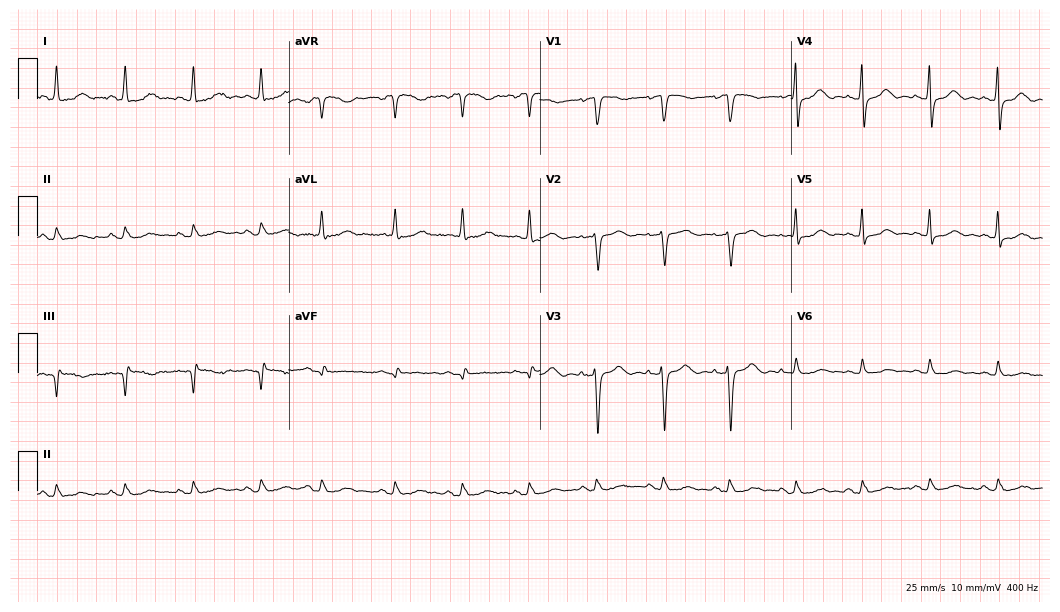
Resting 12-lead electrocardiogram. Patient: a 67-year-old woman. None of these six findings is recorded: first-degree AV block, right bundle branch block (RBBB), left bundle branch block (LBBB), sinus bradycardia, atrial fibrillation (AF), sinus tachycardia. Only these six findings were labelled.